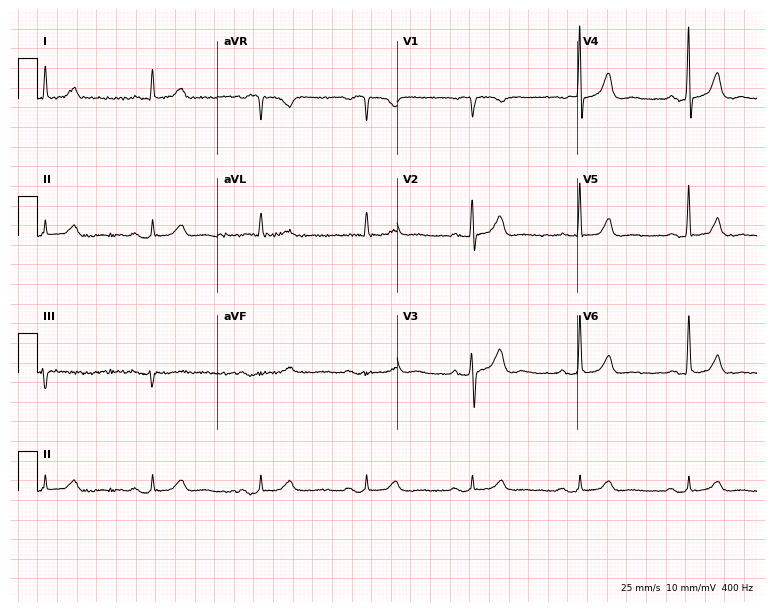
12-lead ECG (7.3-second recording at 400 Hz) from a male, 74 years old. Labelled as a normal ECG.